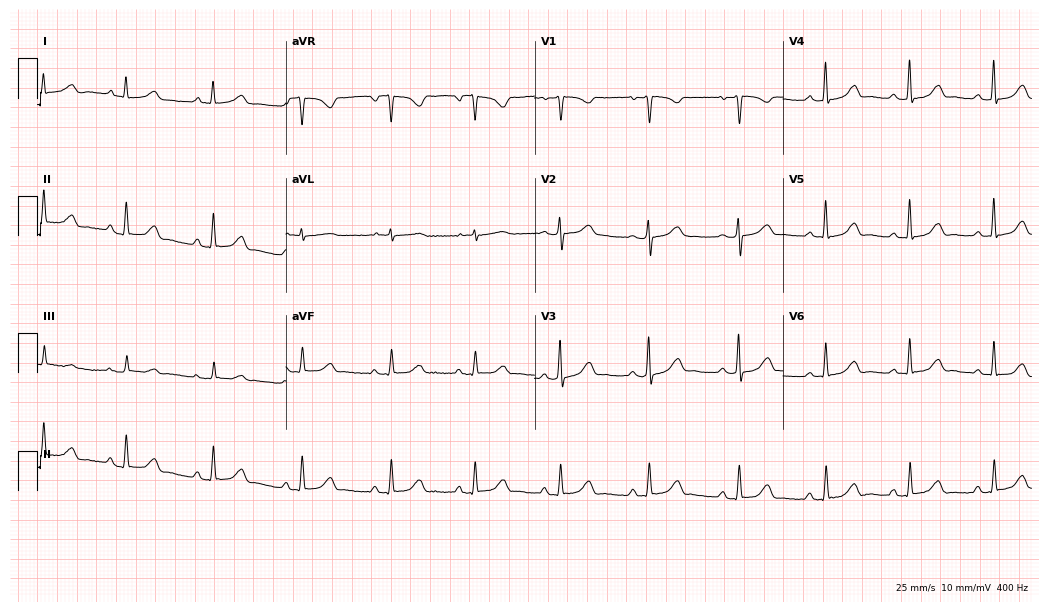
Resting 12-lead electrocardiogram (10.1-second recording at 400 Hz). Patient: a 65-year-old female. Read as a normal ECG.